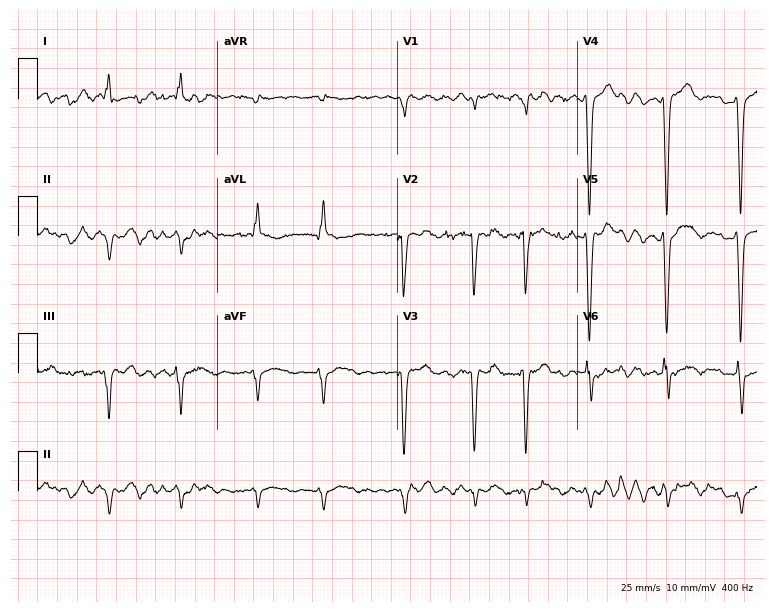
Standard 12-lead ECG recorded from a 71-year-old male patient. None of these six findings is recorded: first-degree AV block, right bundle branch block, left bundle branch block, sinus bradycardia, atrial fibrillation, sinus tachycardia. Findings outside these six are not listed.